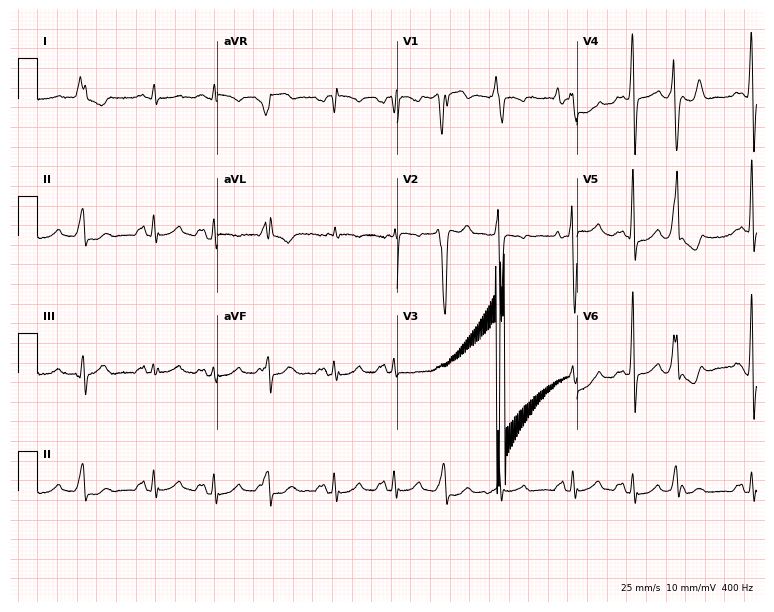
Resting 12-lead electrocardiogram (7.3-second recording at 400 Hz). Patient: a 60-year-old male. None of these six findings is recorded: first-degree AV block, right bundle branch block, left bundle branch block, sinus bradycardia, atrial fibrillation, sinus tachycardia. Findings outside these six are not listed.